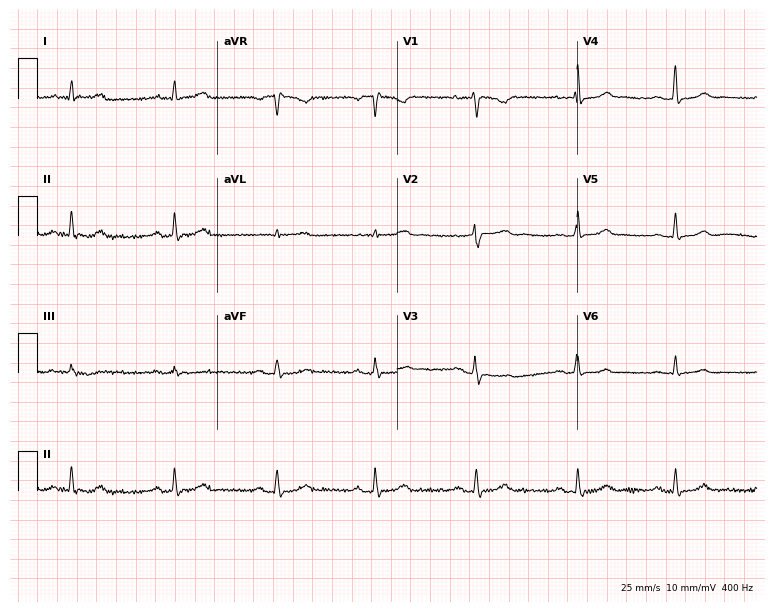
12-lead ECG from a 30-year-old female (7.3-second recording at 400 Hz). No first-degree AV block, right bundle branch block (RBBB), left bundle branch block (LBBB), sinus bradycardia, atrial fibrillation (AF) or sinus tachycardia recorded for this tracing.